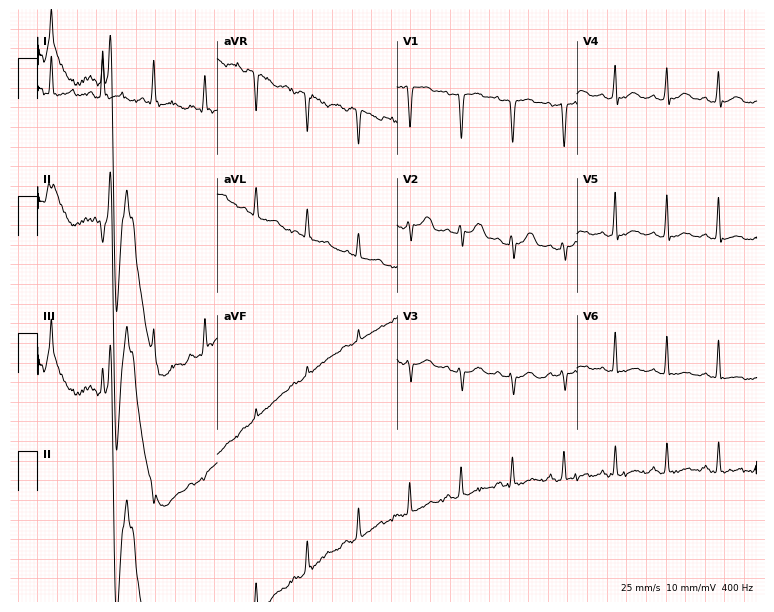
Electrocardiogram, a 53-year-old male patient. Interpretation includes sinus tachycardia (a sinus rate of 100 beats per minute or more).